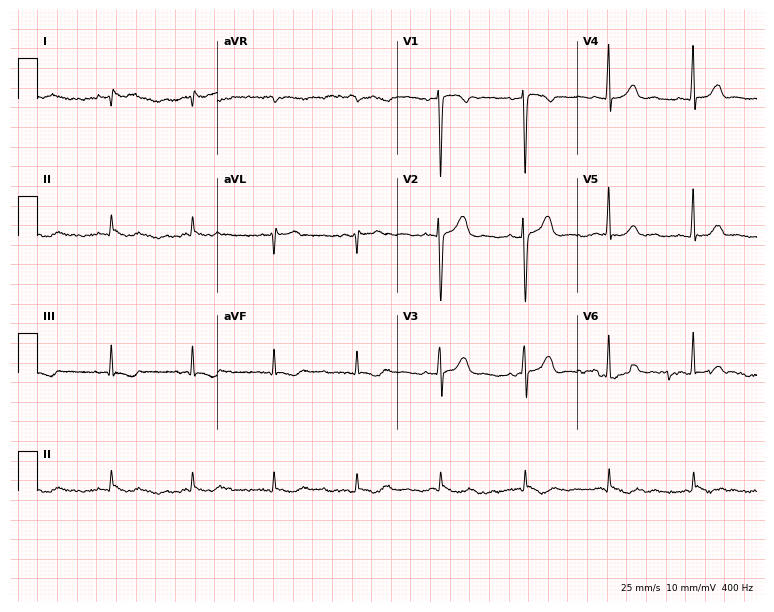
12-lead ECG from a woman, 48 years old (7.3-second recording at 400 Hz). Recorded interpretation: within normal limits.